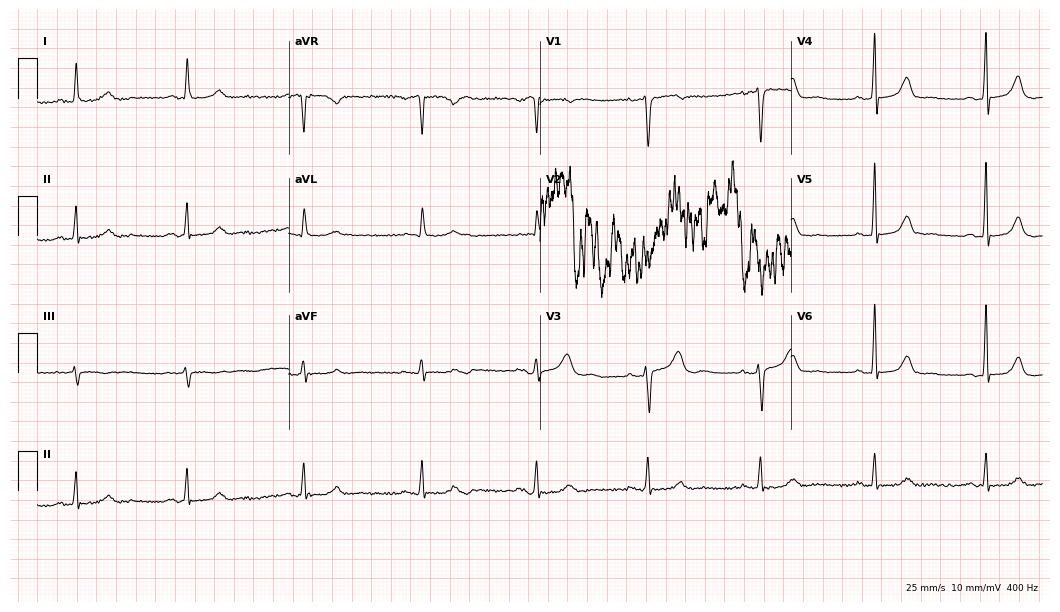
Standard 12-lead ECG recorded from a female patient, 63 years old. None of these six findings is recorded: first-degree AV block, right bundle branch block, left bundle branch block, sinus bradycardia, atrial fibrillation, sinus tachycardia. Only these six findings were labelled.